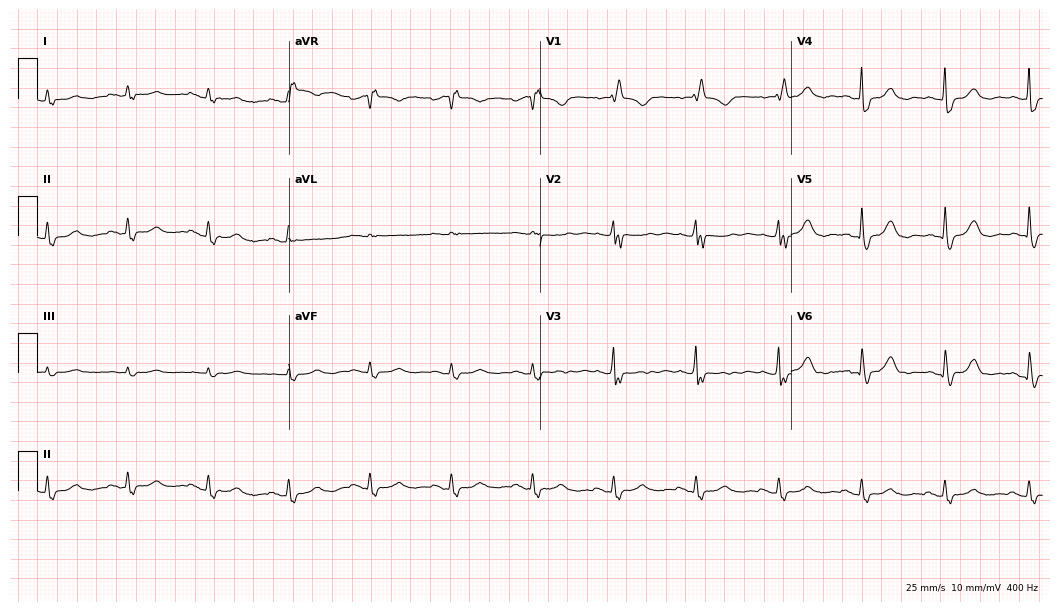
12-lead ECG from a female patient, 61 years old. Shows right bundle branch block.